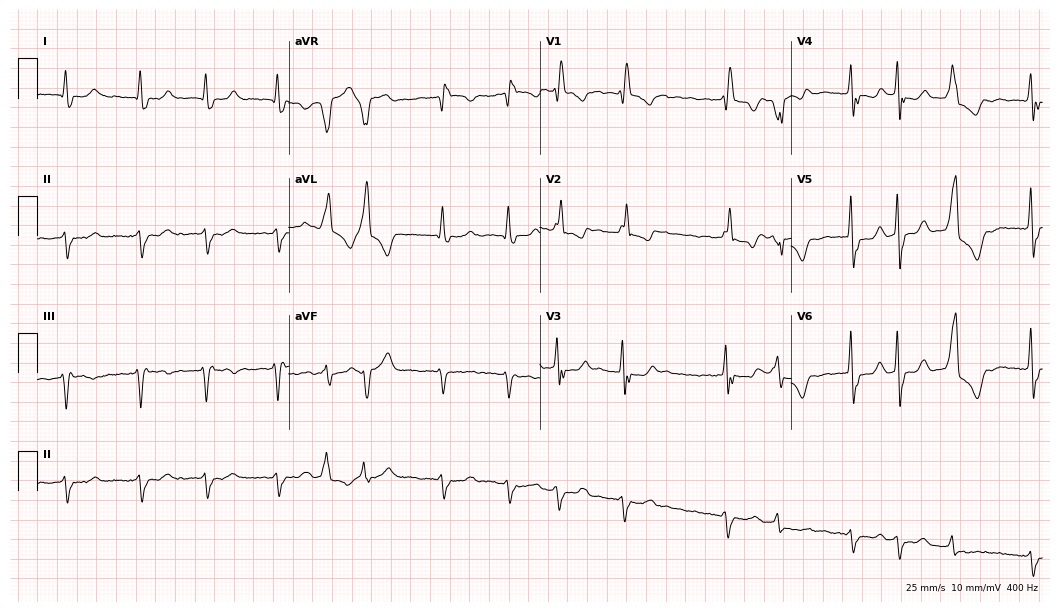
ECG (10.2-second recording at 400 Hz) — a 78-year-old male. Findings include right bundle branch block (RBBB), atrial fibrillation (AF).